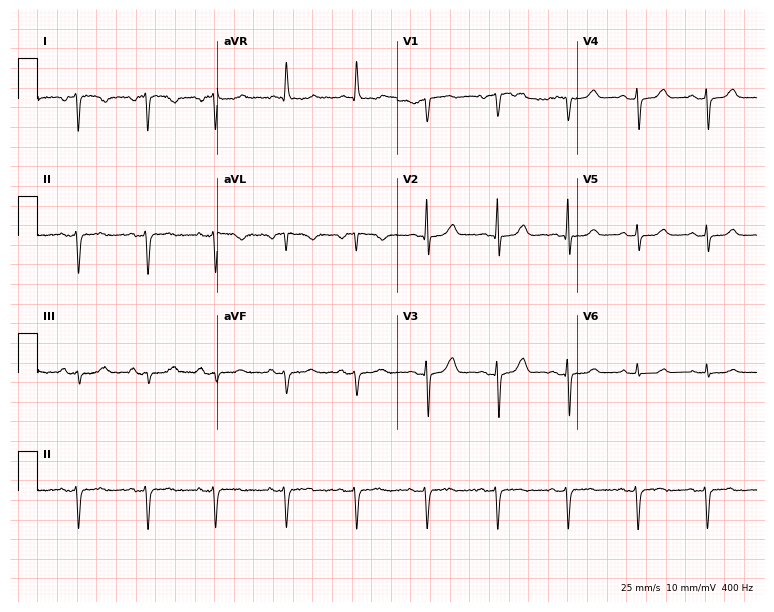
12-lead ECG (7.3-second recording at 400 Hz) from a female, 77 years old. Screened for six findings — first-degree AV block, right bundle branch block, left bundle branch block, sinus bradycardia, atrial fibrillation, sinus tachycardia — none is recorded. Only these six findings were labelled.